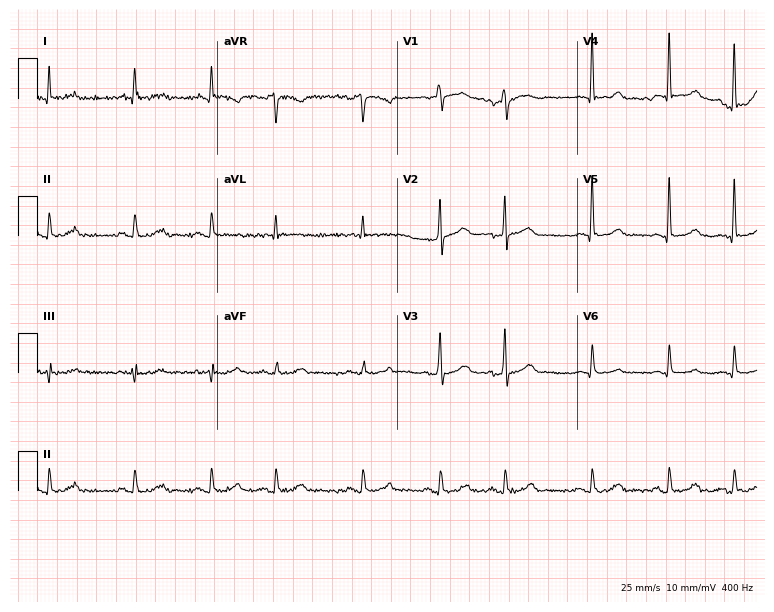
Resting 12-lead electrocardiogram. Patient: a male, 65 years old. None of these six findings is recorded: first-degree AV block, right bundle branch block (RBBB), left bundle branch block (LBBB), sinus bradycardia, atrial fibrillation (AF), sinus tachycardia.